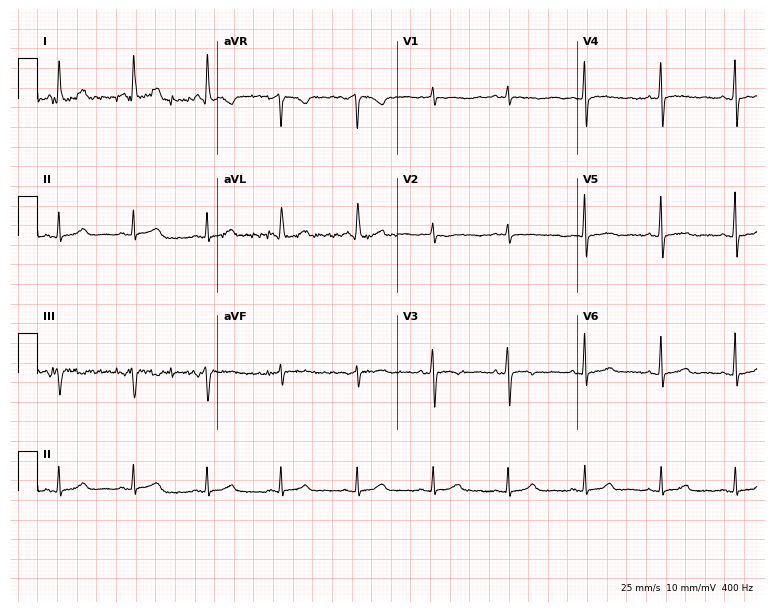
Resting 12-lead electrocardiogram. Patient: a 67-year-old female. Read as a normal ECG.